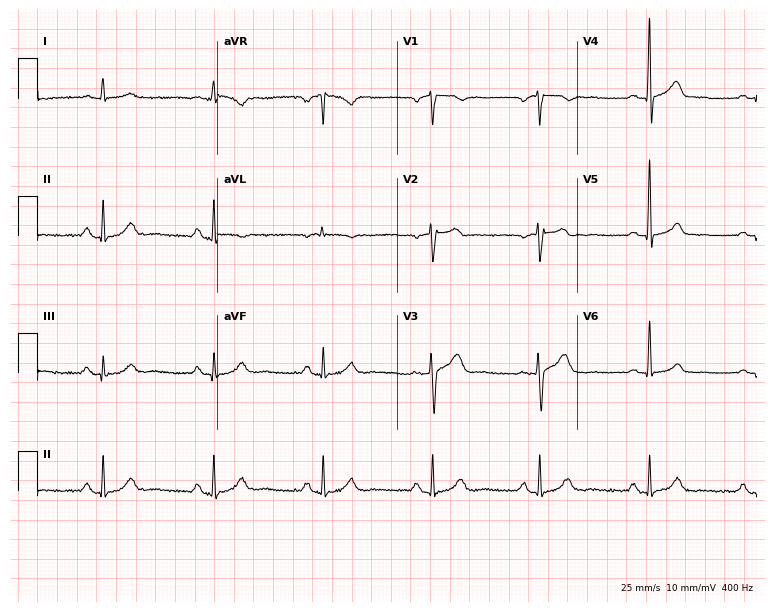
Standard 12-lead ECG recorded from an 80-year-old male patient. None of these six findings is recorded: first-degree AV block, right bundle branch block, left bundle branch block, sinus bradycardia, atrial fibrillation, sinus tachycardia. Findings outside these six are not listed.